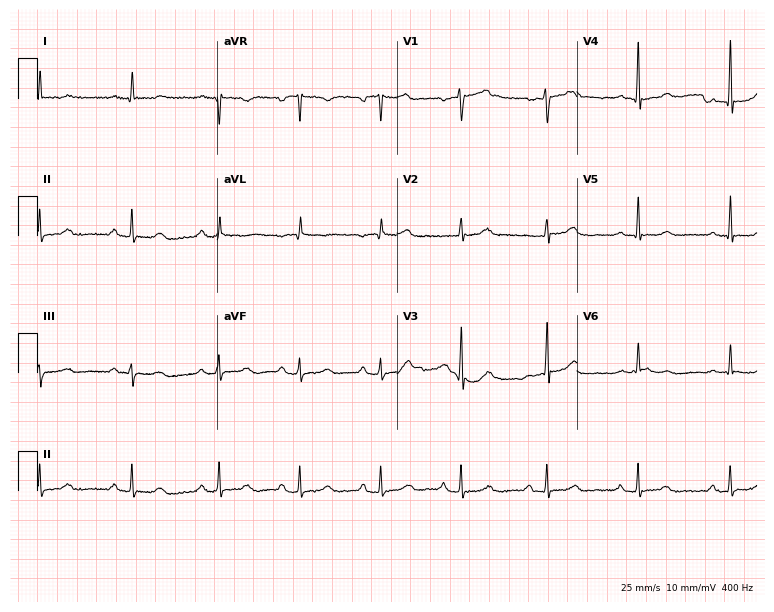
ECG — a 46-year-old female patient. Labelled as a normal ECG.